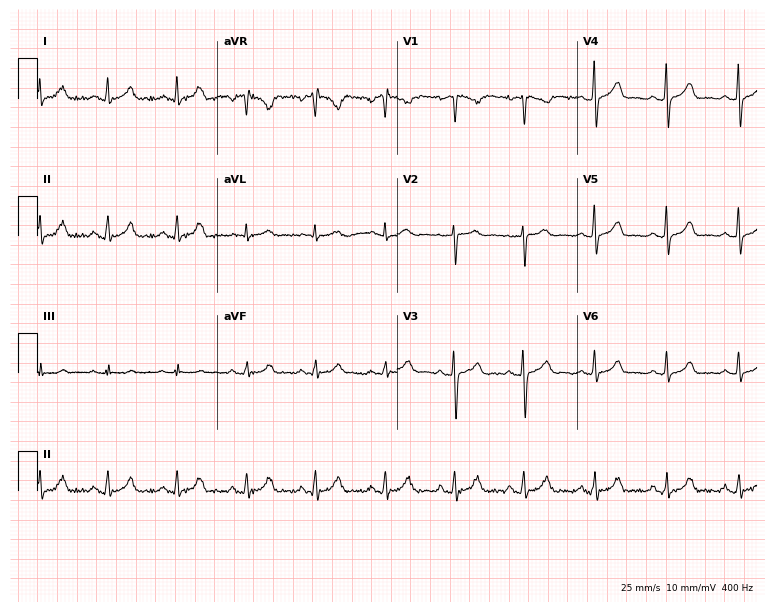
Resting 12-lead electrocardiogram (7.3-second recording at 400 Hz). Patient: a woman, 40 years old. None of these six findings is recorded: first-degree AV block, right bundle branch block, left bundle branch block, sinus bradycardia, atrial fibrillation, sinus tachycardia.